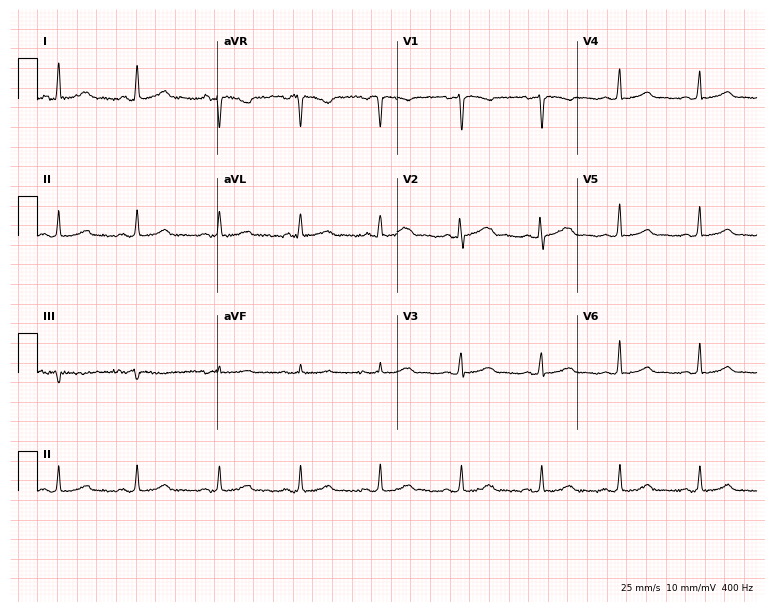
12-lead ECG (7.3-second recording at 400 Hz) from a female, 40 years old. Labelled as a normal ECG.